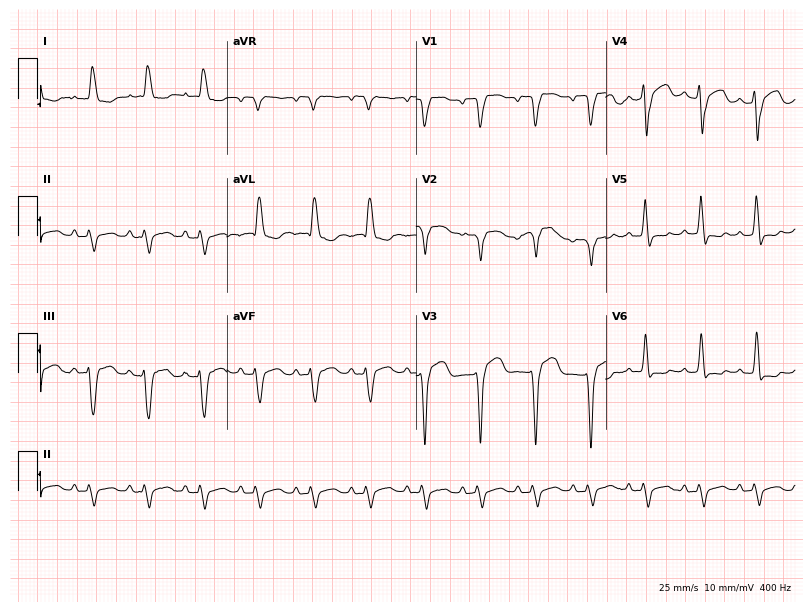
Standard 12-lead ECG recorded from a 62-year-old female patient. None of these six findings is recorded: first-degree AV block, right bundle branch block, left bundle branch block, sinus bradycardia, atrial fibrillation, sinus tachycardia. Findings outside these six are not listed.